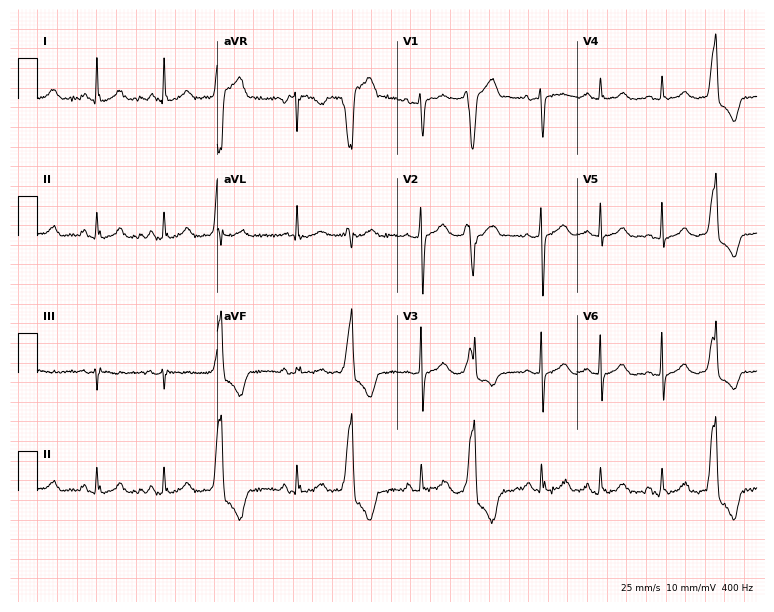
Standard 12-lead ECG recorded from a 47-year-old woman (7.3-second recording at 400 Hz). None of these six findings is recorded: first-degree AV block, right bundle branch block, left bundle branch block, sinus bradycardia, atrial fibrillation, sinus tachycardia. Only these six findings were labelled.